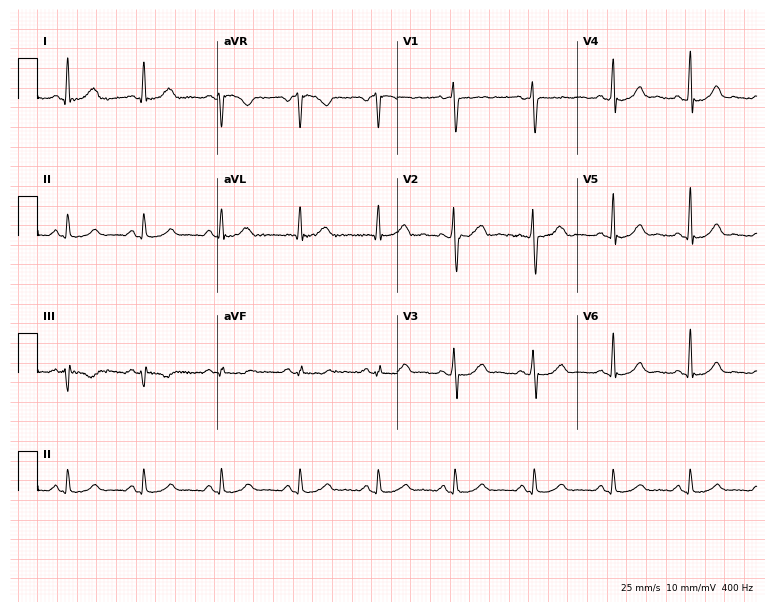
12-lead ECG from a 33-year-old female. Recorded interpretation: within normal limits.